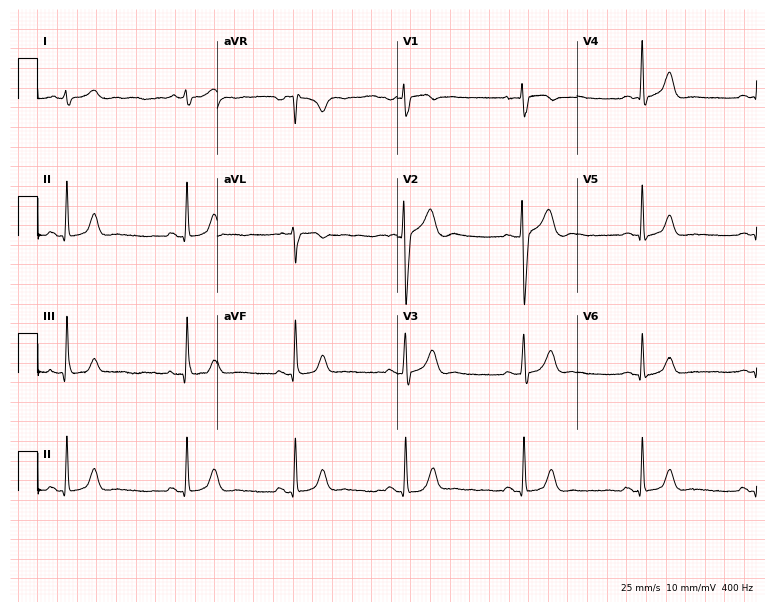
Standard 12-lead ECG recorded from a man, 31 years old (7.3-second recording at 400 Hz). Read as a normal ECG.